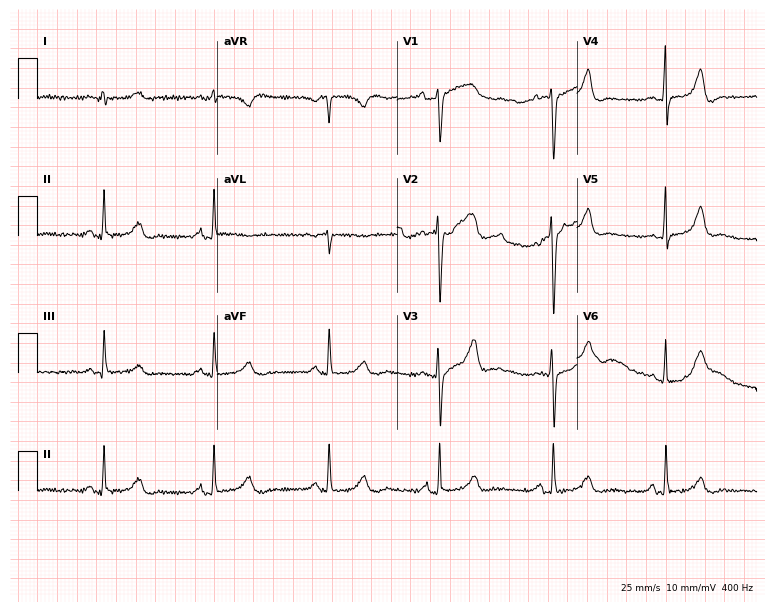
Resting 12-lead electrocardiogram (7.3-second recording at 400 Hz). Patient: a female, 69 years old. None of these six findings is recorded: first-degree AV block, right bundle branch block, left bundle branch block, sinus bradycardia, atrial fibrillation, sinus tachycardia. Findings outside these six are not listed.